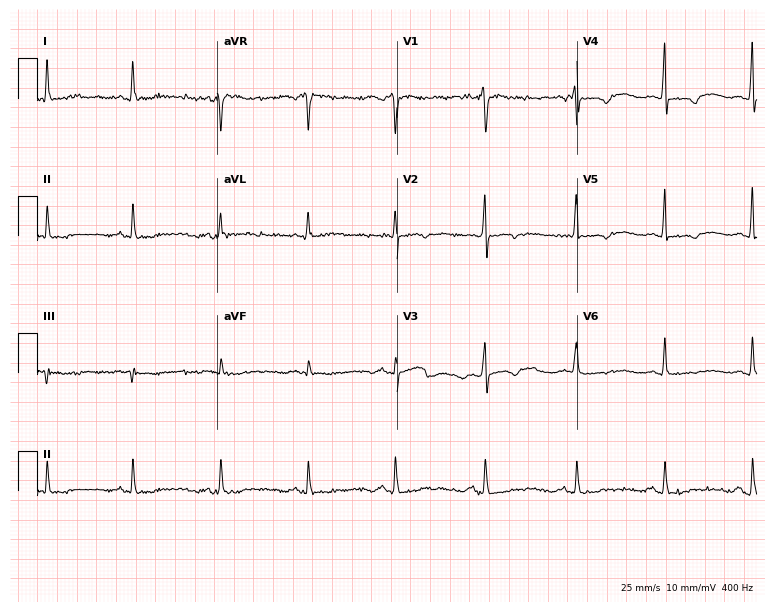
Standard 12-lead ECG recorded from a 60-year-old woman (7.3-second recording at 400 Hz). None of these six findings is recorded: first-degree AV block, right bundle branch block (RBBB), left bundle branch block (LBBB), sinus bradycardia, atrial fibrillation (AF), sinus tachycardia.